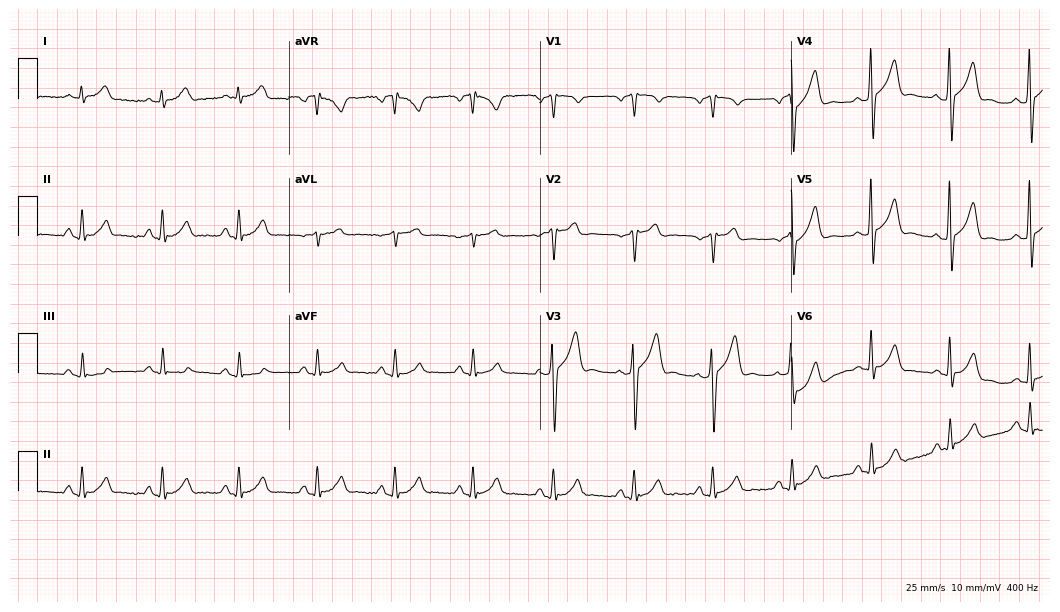
12-lead ECG from a 52-year-old male patient. Labelled as a normal ECG.